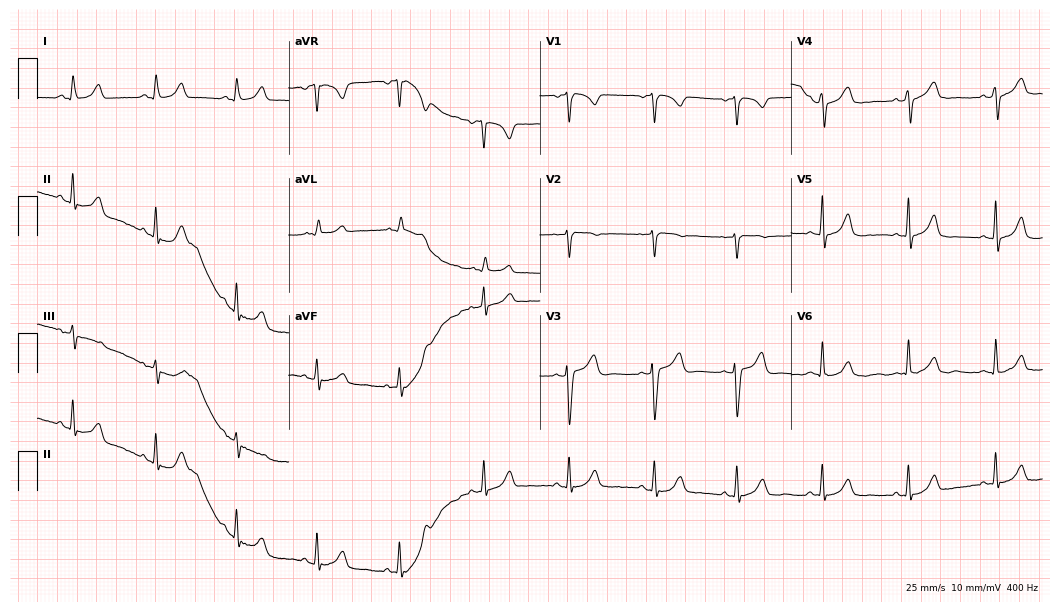
12-lead ECG (10.2-second recording at 400 Hz) from a female, 50 years old. Labelled as a normal ECG.